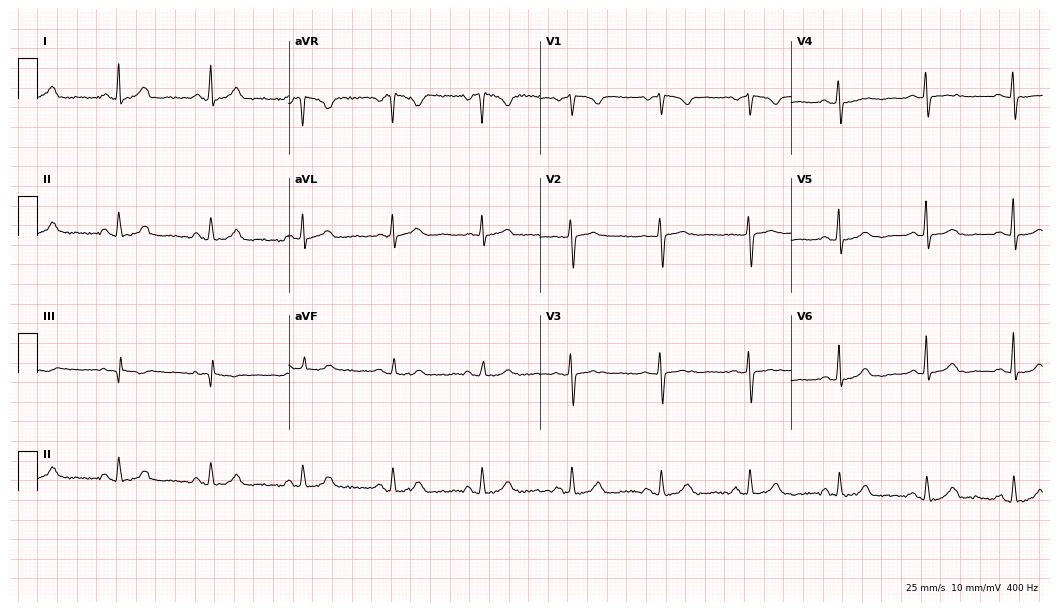
12-lead ECG (10.2-second recording at 400 Hz) from a 62-year-old woman. Screened for six findings — first-degree AV block, right bundle branch block, left bundle branch block, sinus bradycardia, atrial fibrillation, sinus tachycardia — none is recorded.